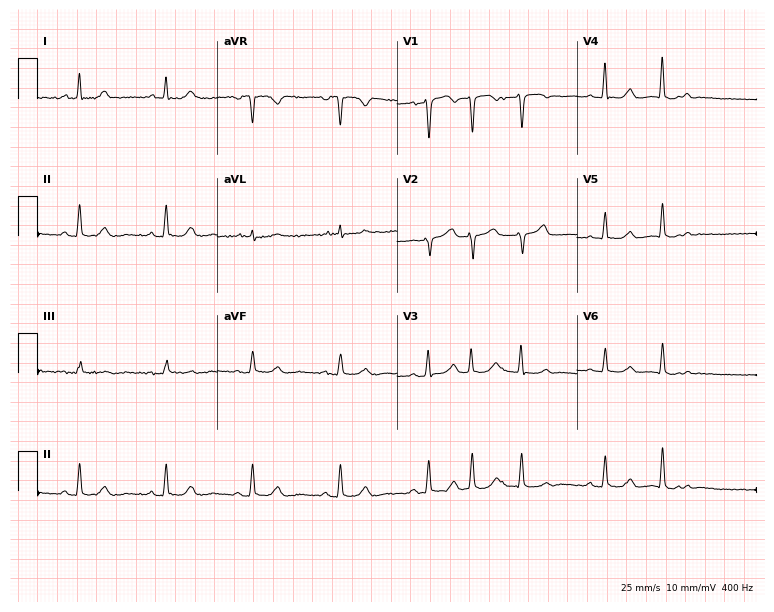
12-lead ECG from a 68-year-old female patient. No first-degree AV block, right bundle branch block (RBBB), left bundle branch block (LBBB), sinus bradycardia, atrial fibrillation (AF) or sinus tachycardia recorded for this tracing. Findings outside these six are not listed.